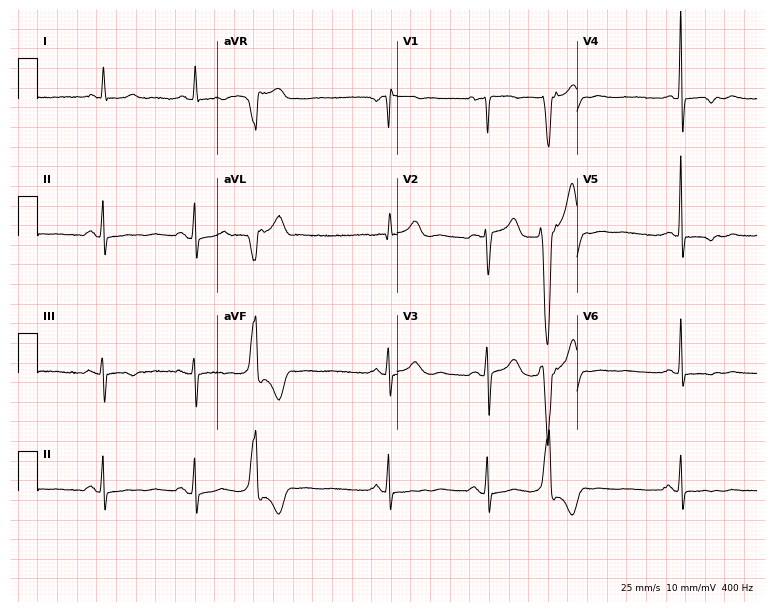
ECG (7.3-second recording at 400 Hz) — a female patient, 68 years old. Screened for six findings — first-degree AV block, right bundle branch block (RBBB), left bundle branch block (LBBB), sinus bradycardia, atrial fibrillation (AF), sinus tachycardia — none is recorded. Other findings, if any, are not listed.